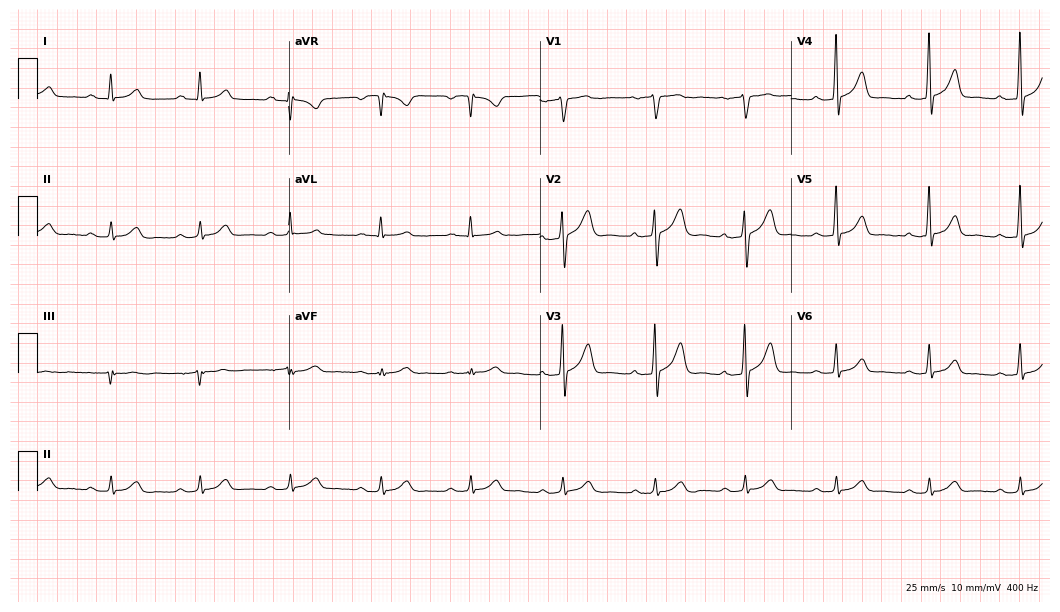
Resting 12-lead electrocardiogram (10.2-second recording at 400 Hz). Patient: a 55-year-old male. None of these six findings is recorded: first-degree AV block, right bundle branch block (RBBB), left bundle branch block (LBBB), sinus bradycardia, atrial fibrillation (AF), sinus tachycardia.